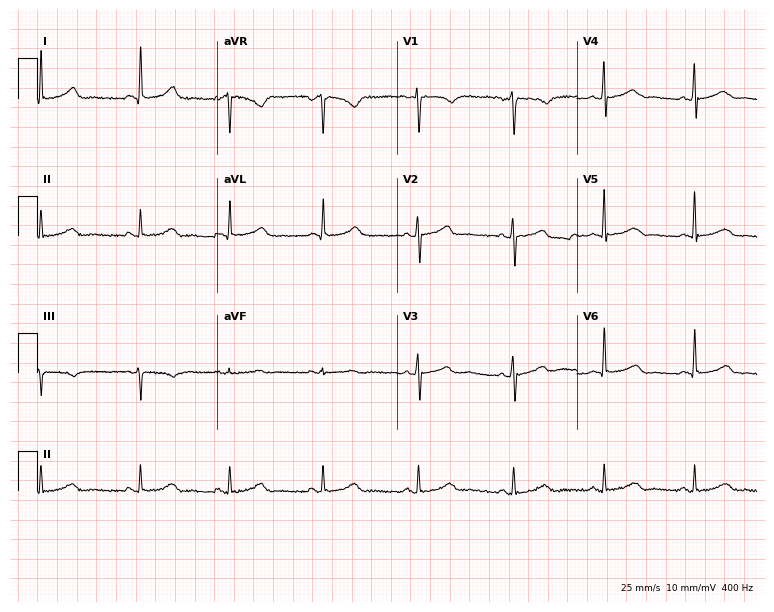
12-lead ECG from a 47-year-old female. Labelled as a normal ECG.